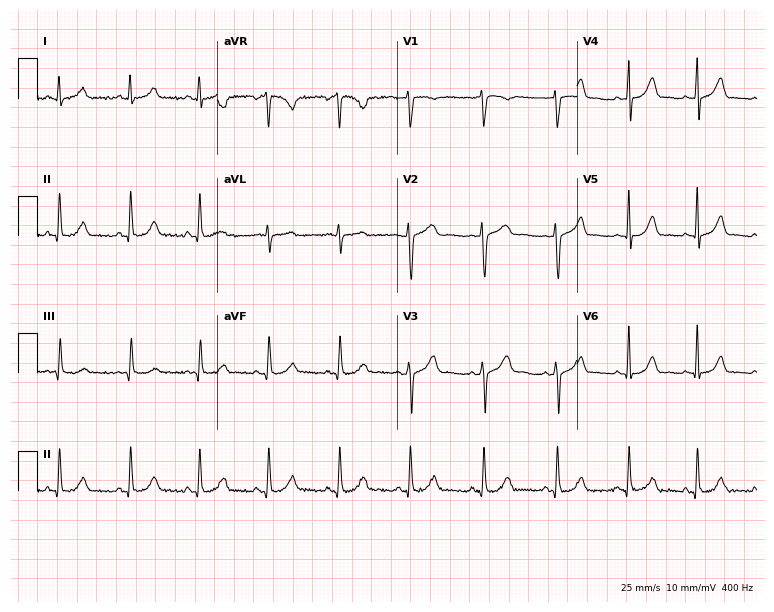
ECG (7.3-second recording at 400 Hz) — a woman, 35 years old. Screened for six findings — first-degree AV block, right bundle branch block (RBBB), left bundle branch block (LBBB), sinus bradycardia, atrial fibrillation (AF), sinus tachycardia — none is recorded. Only these six findings were labelled.